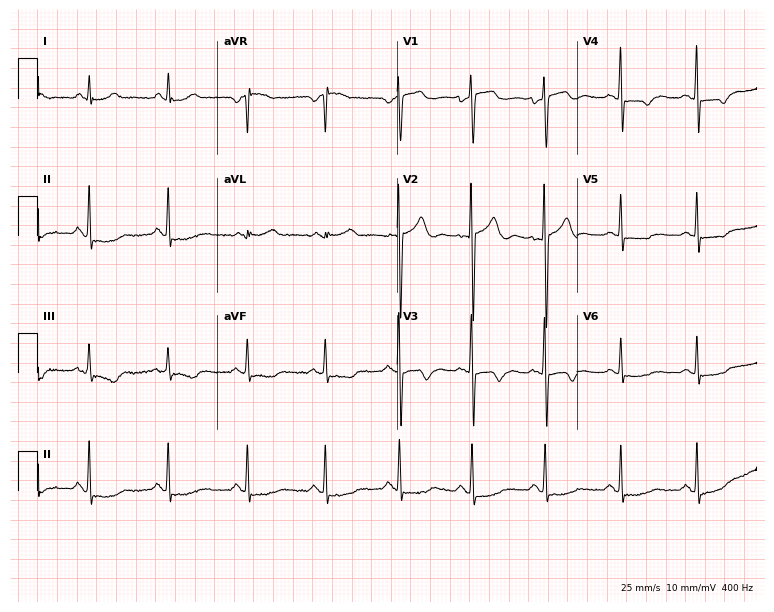
Standard 12-lead ECG recorded from a 37-year-old male patient. None of these six findings is recorded: first-degree AV block, right bundle branch block, left bundle branch block, sinus bradycardia, atrial fibrillation, sinus tachycardia.